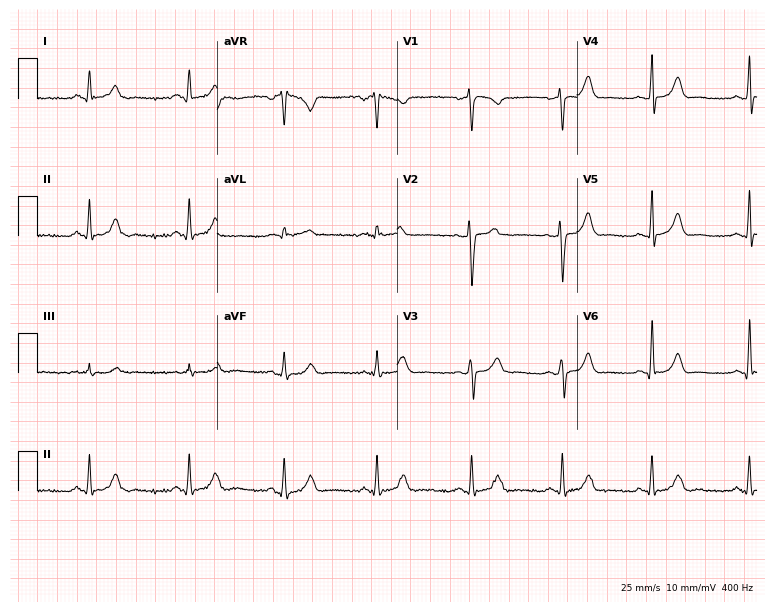
12-lead ECG from a woman, 28 years old. Labelled as a normal ECG.